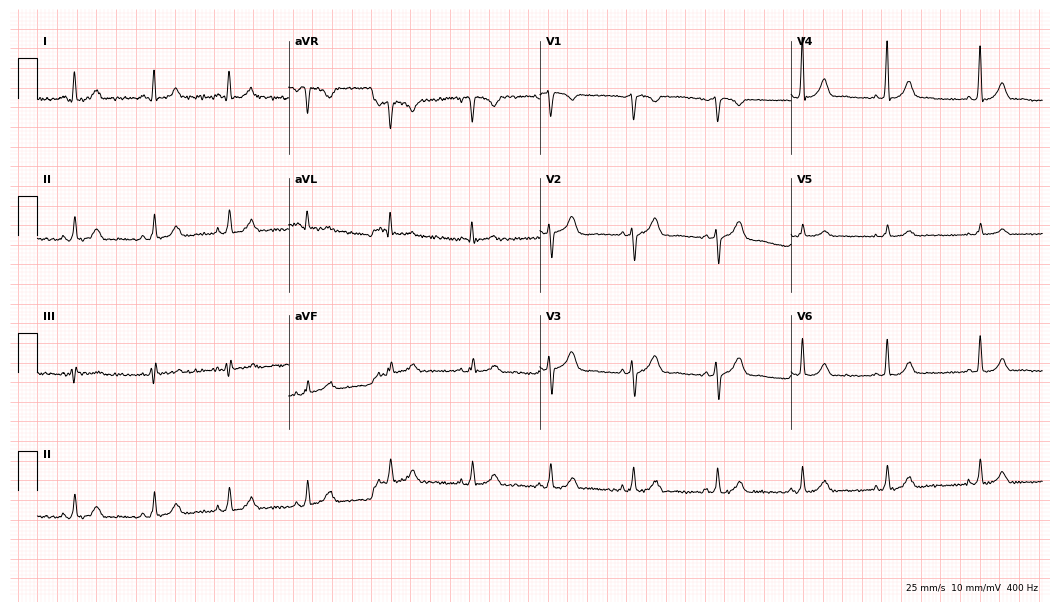
ECG (10.2-second recording at 400 Hz) — a 25-year-old female. Screened for six findings — first-degree AV block, right bundle branch block, left bundle branch block, sinus bradycardia, atrial fibrillation, sinus tachycardia — none is recorded. Other findings, if any, are not listed.